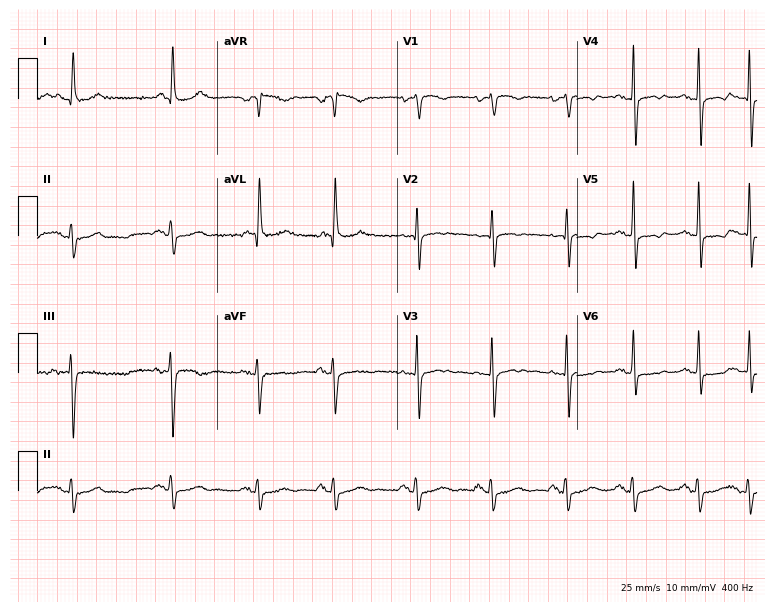
12-lead ECG from a female, 84 years old. Screened for six findings — first-degree AV block, right bundle branch block, left bundle branch block, sinus bradycardia, atrial fibrillation, sinus tachycardia — none is recorded.